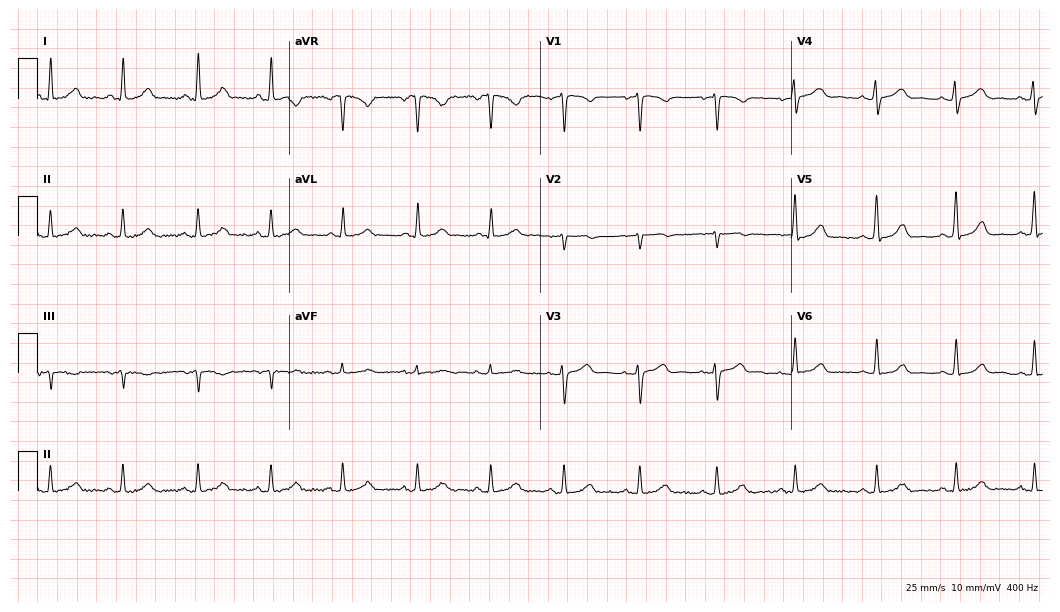
Resting 12-lead electrocardiogram (10.2-second recording at 400 Hz). Patient: a female, 36 years old. Read as a normal ECG.